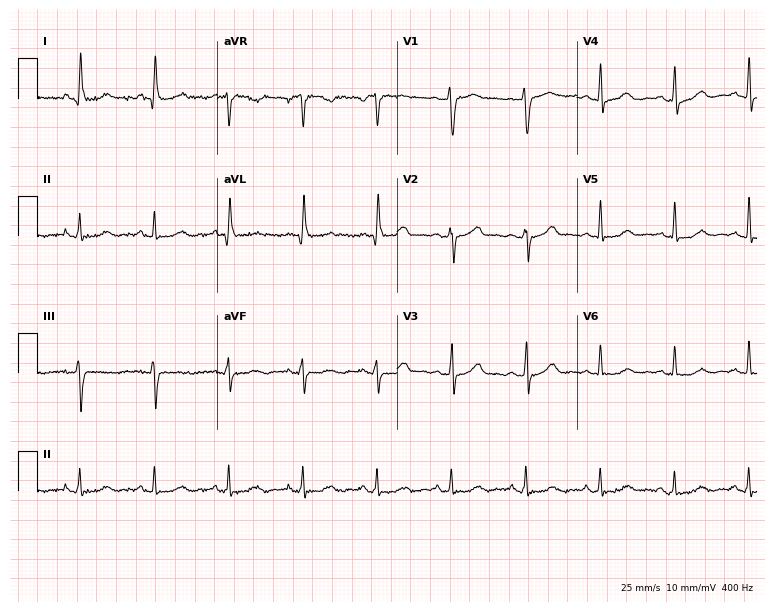
Electrocardiogram (7.3-second recording at 400 Hz), a 56-year-old female. Overall reading on record: normal ECG.